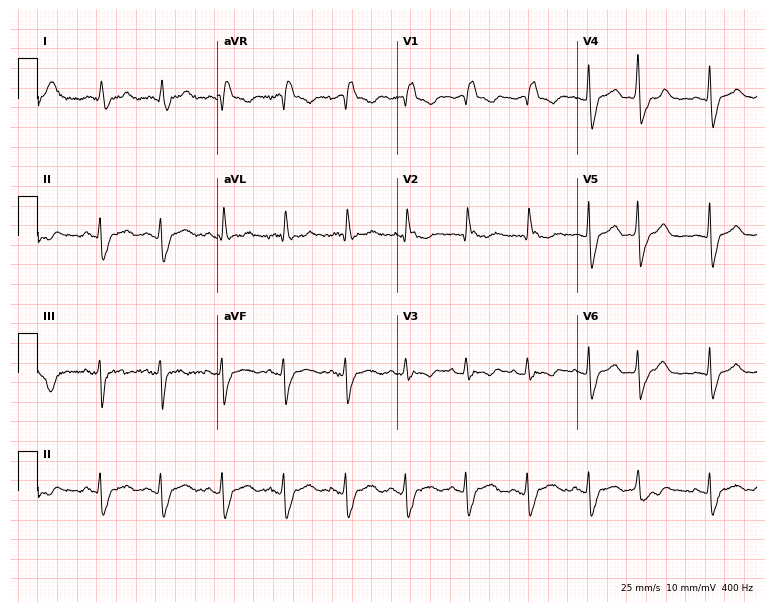
Resting 12-lead electrocardiogram (7.3-second recording at 400 Hz). Patient: a female, 72 years old. The tracing shows right bundle branch block.